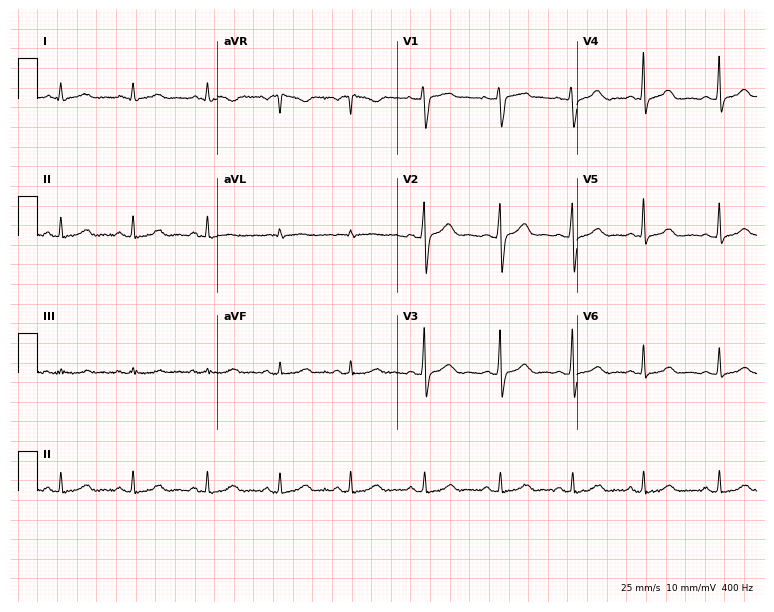
Electrocardiogram (7.3-second recording at 400 Hz), a 66-year-old woman. Of the six screened findings (first-degree AV block, right bundle branch block, left bundle branch block, sinus bradycardia, atrial fibrillation, sinus tachycardia), none is recorded. Findings outside these six are not listed.